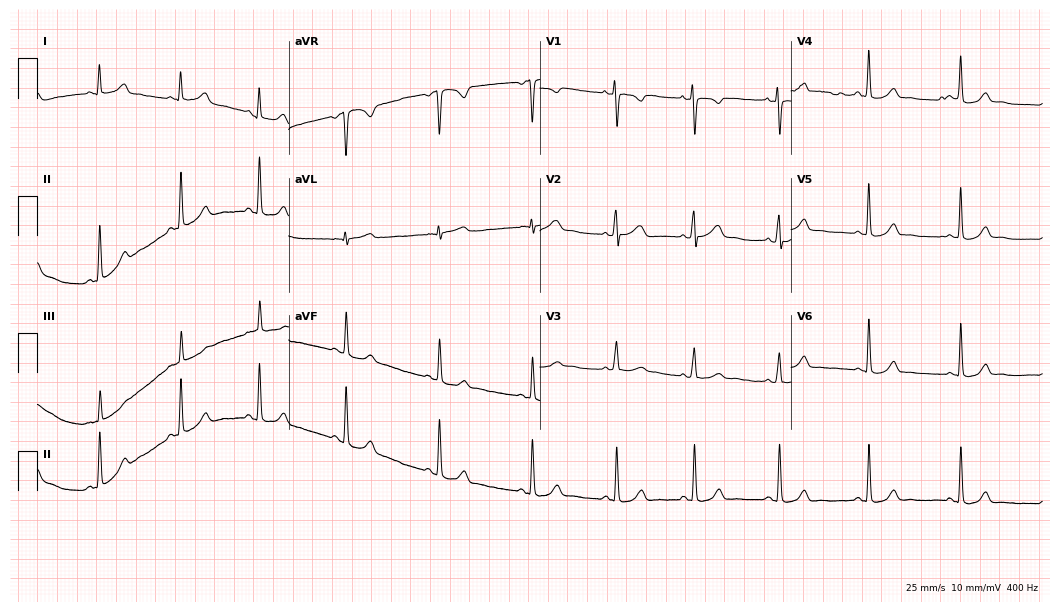
Electrocardiogram, a 34-year-old female. Of the six screened findings (first-degree AV block, right bundle branch block, left bundle branch block, sinus bradycardia, atrial fibrillation, sinus tachycardia), none is recorded.